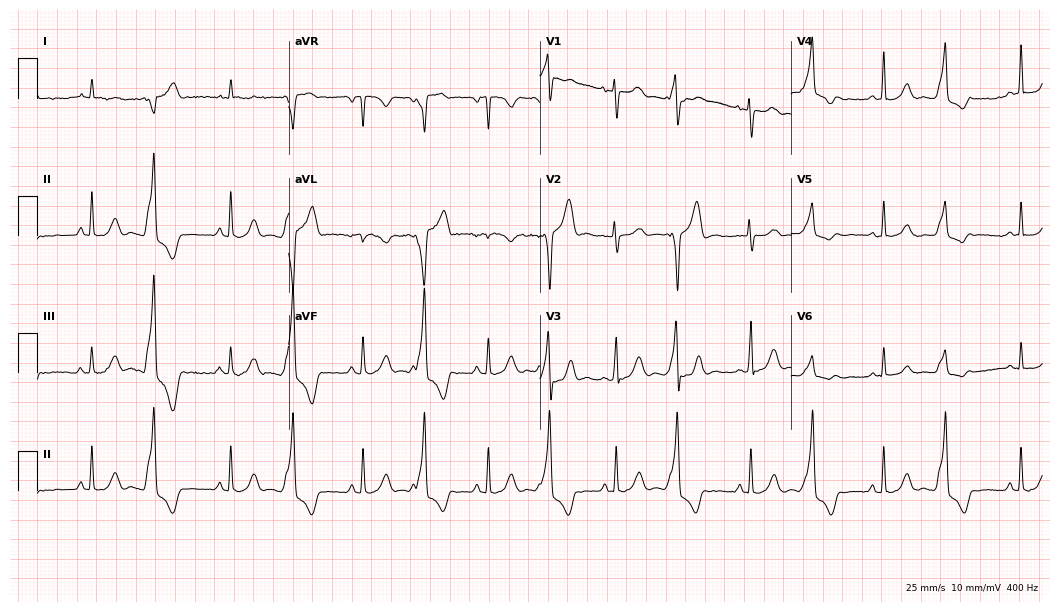
Resting 12-lead electrocardiogram (10.2-second recording at 400 Hz). Patient: a woman, 20 years old. Read as a normal ECG.